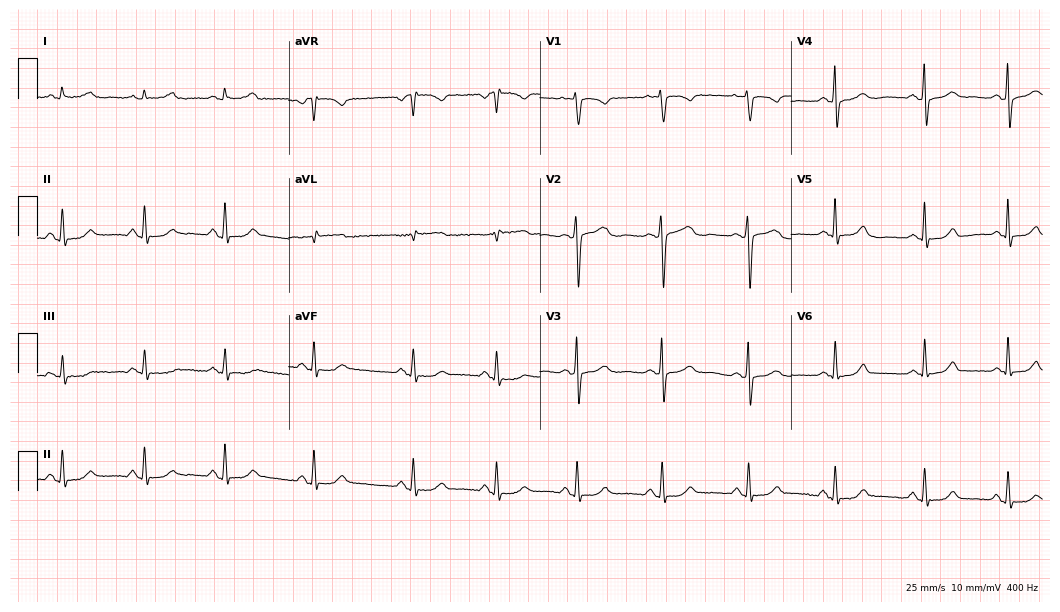
12-lead ECG from a female patient, 30 years old. Recorded interpretation: within normal limits.